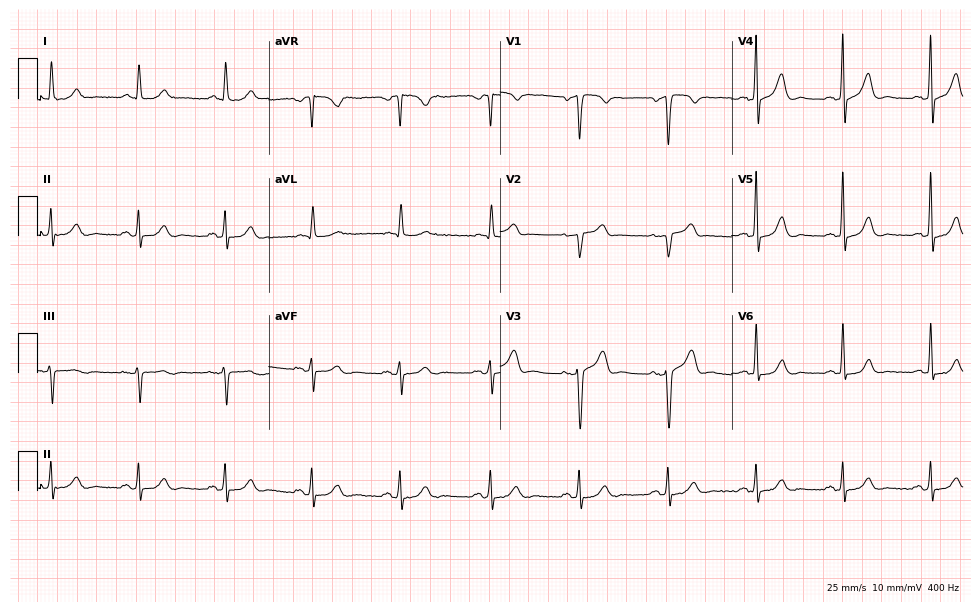
Standard 12-lead ECG recorded from a man, 68 years old. None of these six findings is recorded: first-degree AV block, right bundle branch block, left bundle branch block, sinus bradycardia, atrial fibrillation, sinus tachycardia.